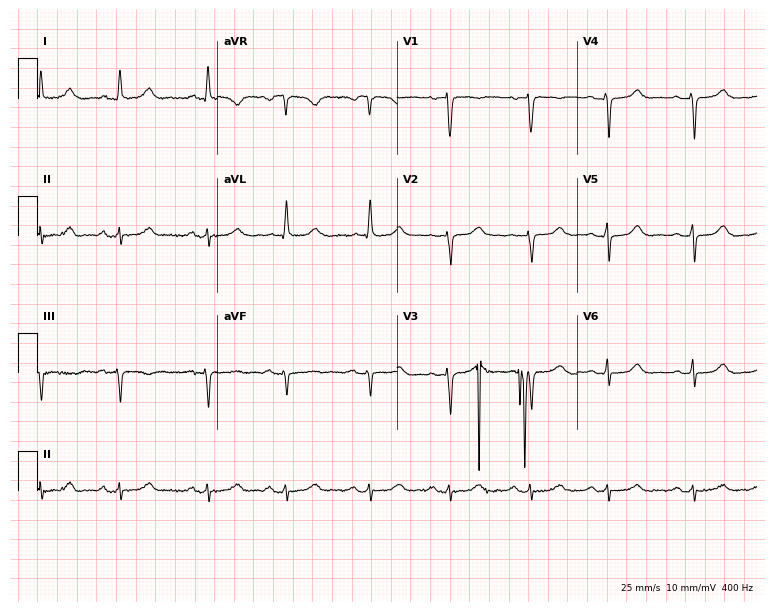
Resting 12-lead electrocardiogram. Patient: an 84-year-old female. None of these six findings is recorded: first-degree AV block, right bundle branch block, left bundle branch block, sinus bradycardia, atrial fibrillation, sinus tachycardia. Only these six findings were labelled.